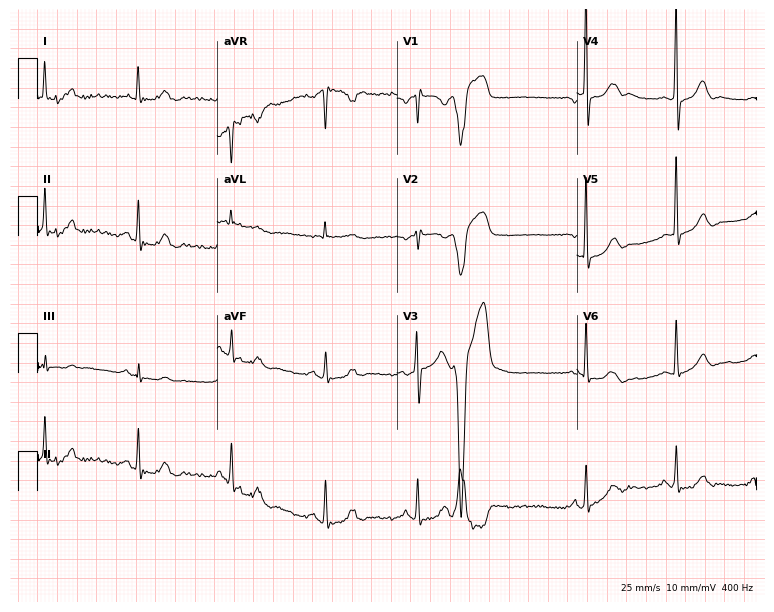
ECG (7.3-second recording at 400 Hz) — a 70-year-old man. Screened for six findings — first-degree AV block, right bundle branch block (RBBB), left bundle branch block (LBBB), sinus bradycardia, atrial fibrillation (AF), sinus tachycardia — none is recorded. Other findings, if any, are not listed.